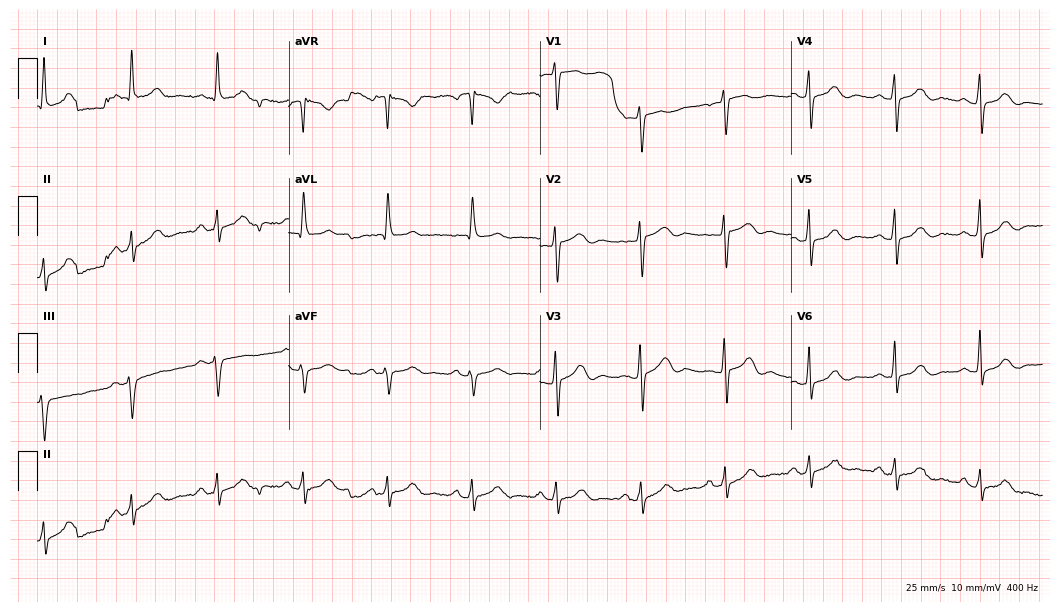
Electrocardiogram, a 72-year-old woman. Of the six screened findings (first-degree AV block, right bundle branch block, left bundle branch block, sinus bradycardia, atrial fibrillation, sinus tachycardia), none is recorded.